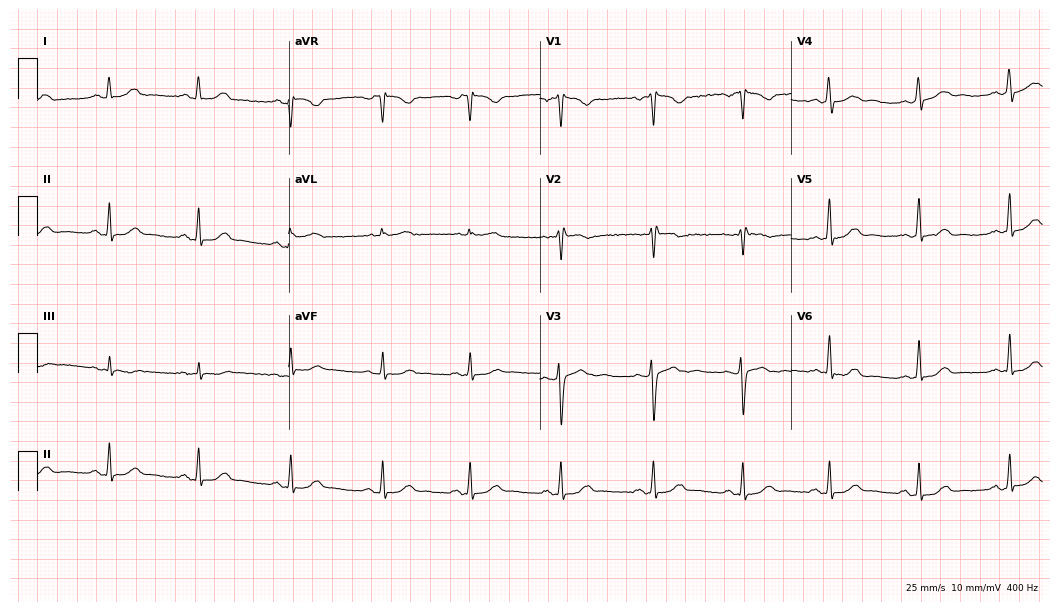
Standard 12-lead ECG recorded from a woman, 47 years old. Read as a normal ECG.